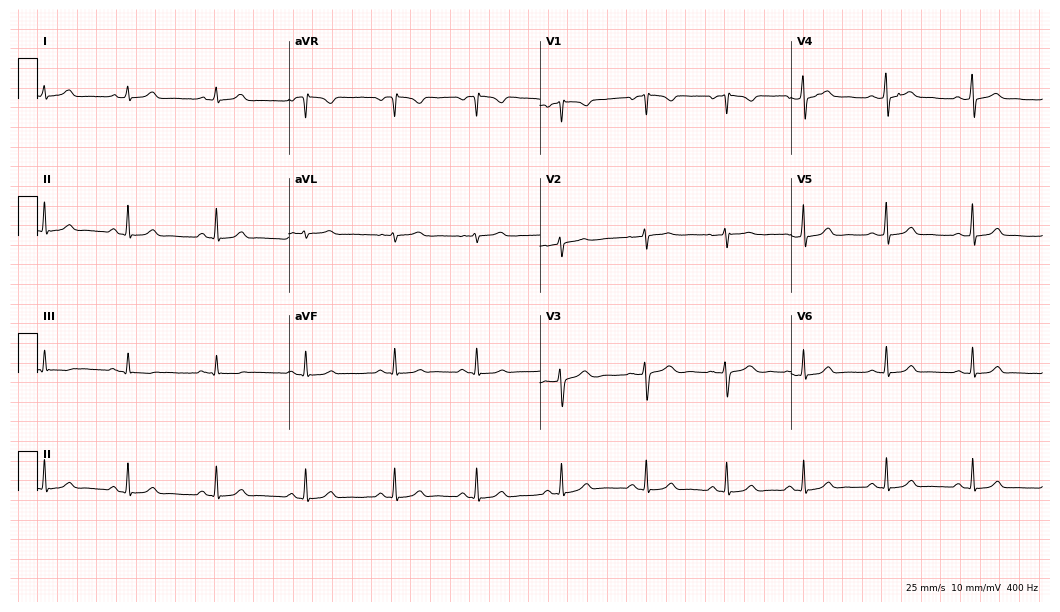
12-lead ECG from an 18-year-old female. Recorded interpretation: within normal limits.